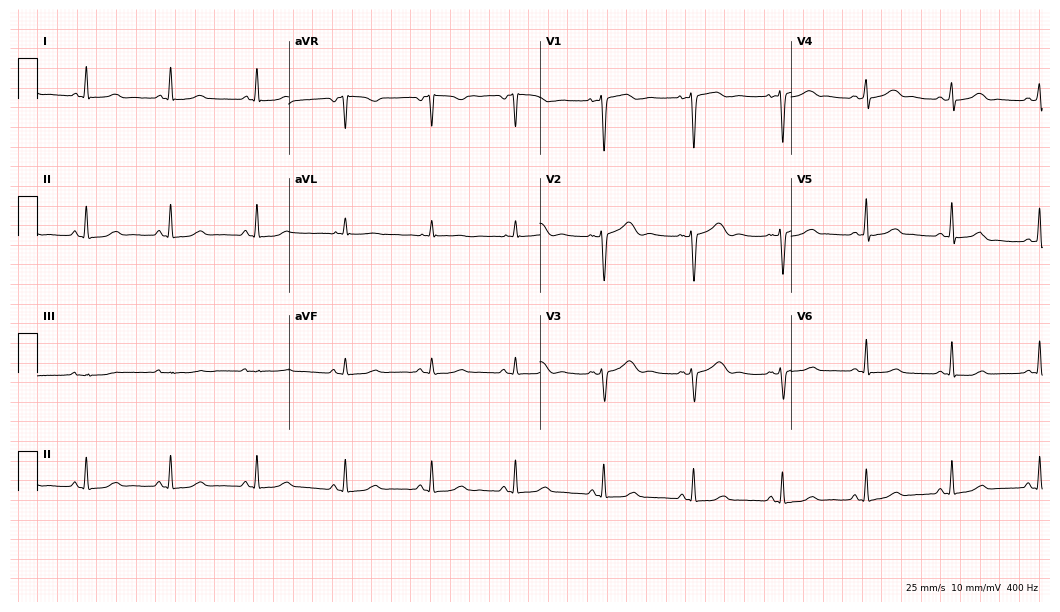
ECG — a 37-year-old female patient. Labelled as a normal ECG.